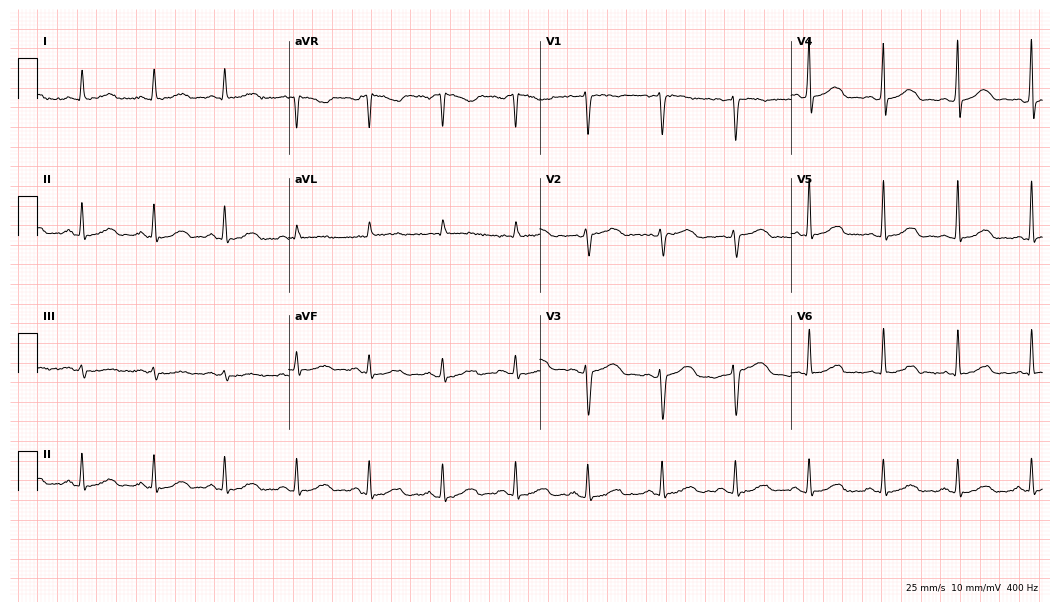
ECG — a woman, 39 years old. Screened for six findings — first-degree AV block, right bundle branch block (RBBB), left bundle branch block (LBBB), sinus bradycardia, atrial fibrillation (AF), sinus tachycardia — none is recorded.